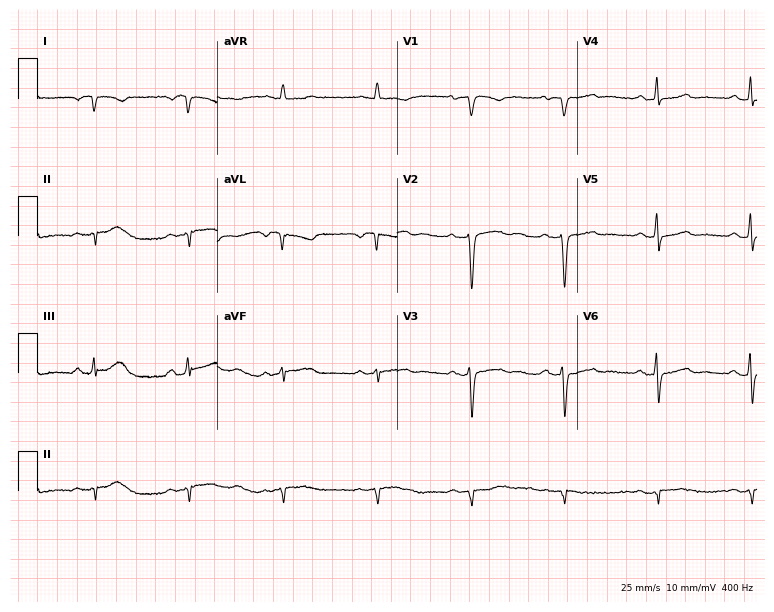
12-lead ECG from a woman, 61 years old. No first-degree AV block, right bundle branch block (RBBB), left bundle branch block (LBBB), sinus bradycardia, atrial fibrillation (AF) or sinus tachycardia recorded for this tracing. Findings outside these six are not listed.